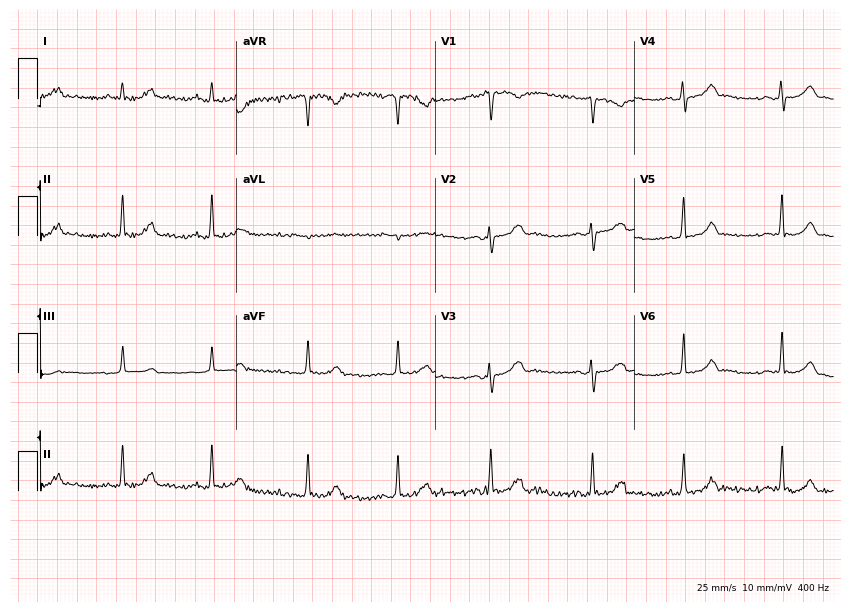
12-lead ECG (8.1-second recording at 400 Hz) from a female, 27 years old. Labelled as a normal ECG.